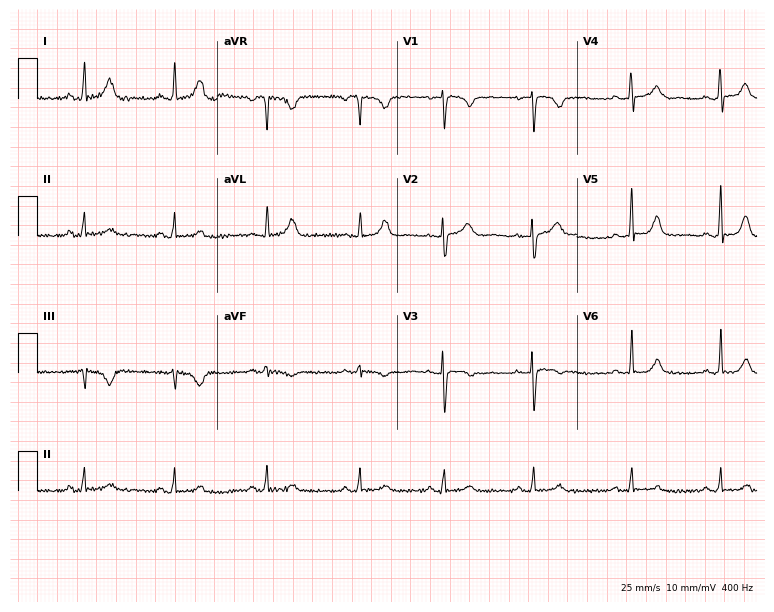
Standard 12-lead ECG recorded from a female, 40 years old. Read as a normal ECG.